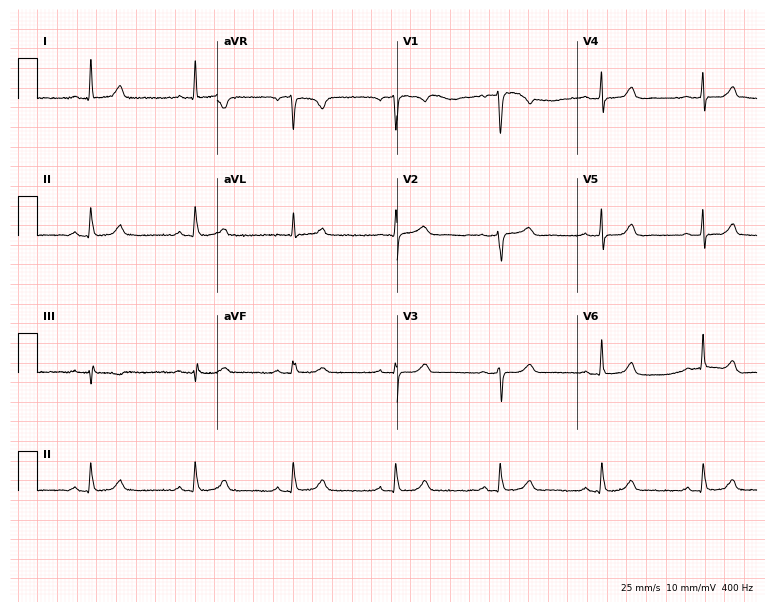
12-lead ECG from a 52-year-old female. No first-degree AV block, right bundle branch block (RBBB), left bundle branch block (LBBB), sinus bradycardia, atrial fibrillation (AF) or sinus tachycardia recorded for this tracing.